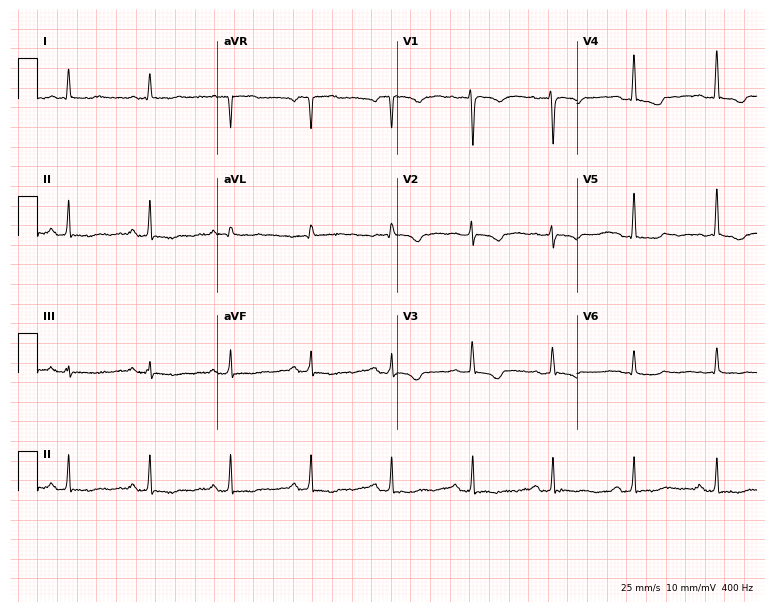
Standard 12-lead ECG recorded from a 37-year-old female patient (7.3-second recording at 400 Hz). None of these six findings is recorded: first-degree AV block, right bundle branch block, left bundle branch block, sinus bradycardia, atrial fibrillation, sinus tachycardia.